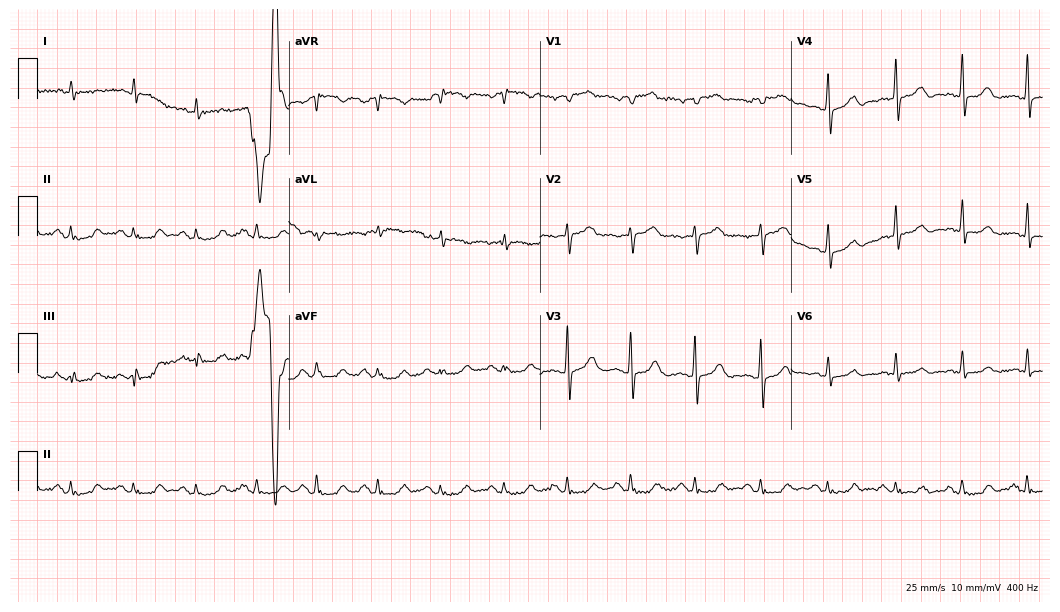
12-lead ECG from a male patient, 70 years old. Screened for six findings — first-degree AV block, right bundle branch block, left bundle branch block, sinus bradycardia, atrial fibrillation, sinus tachycardia — none is recorded.